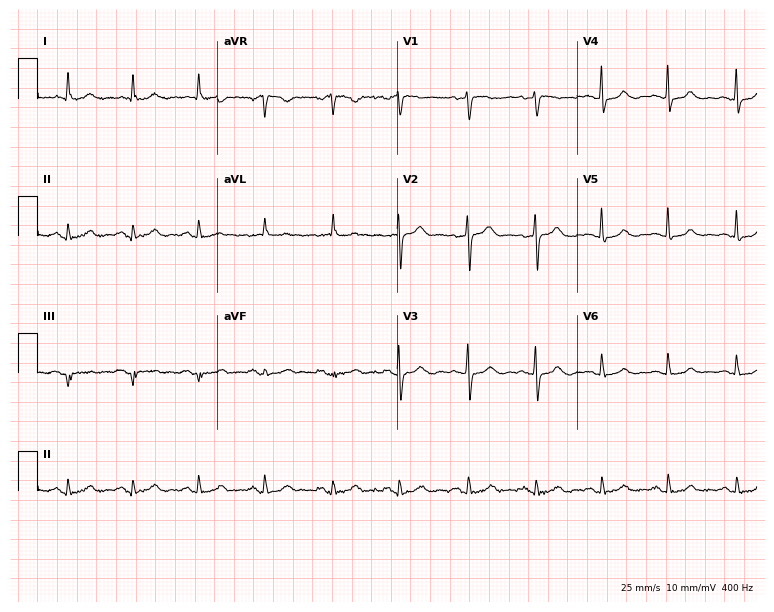
Standard 12-lead ECG recorded from a 60-year-old female. None of these six findings is recorded: first-degree AV block, right bundle branch block, left bundle branch block, sinus bradycardia, atrial fibrillation, sinus tachycardia. Findings outside these six are not listed.